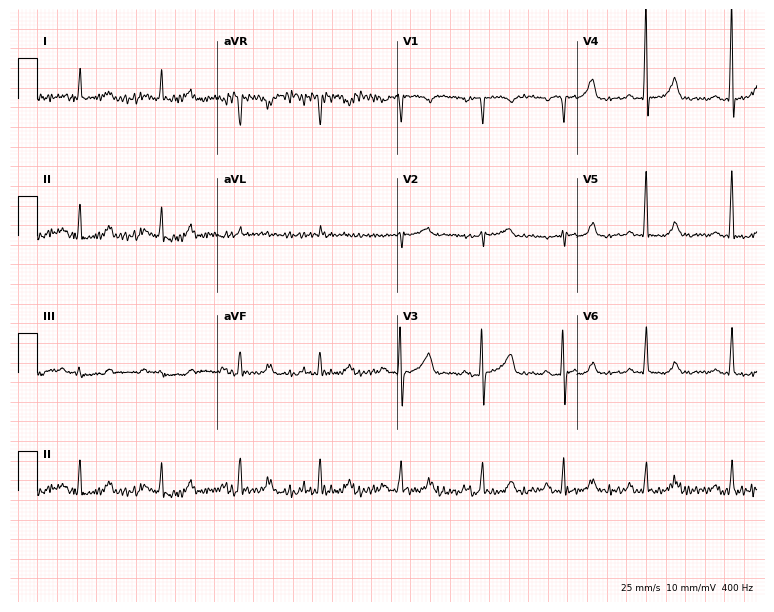
Resting 12-lead electrocardiogram (7.3-second recording at 400 Hz). Patient: a 49-year-old woman. Read as a normal ECG.